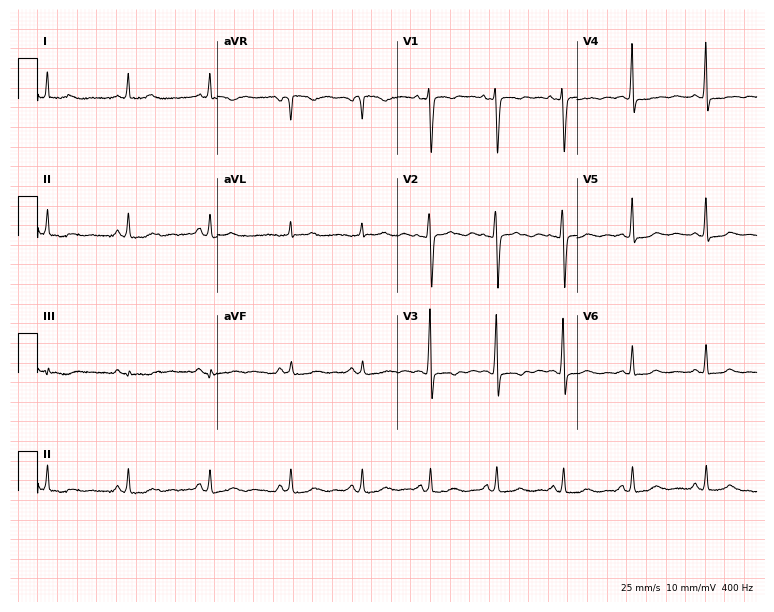
Resting 12-lead electrocardiogram (7.3-second recording at 400 Hz). Patient: a 41-year-old female. None of these six findings is recorded: first-degree AV block, right bundle branch block, left bundle branch block, sinus bradycardia, atrial fibrillation, sinus tachycardia.